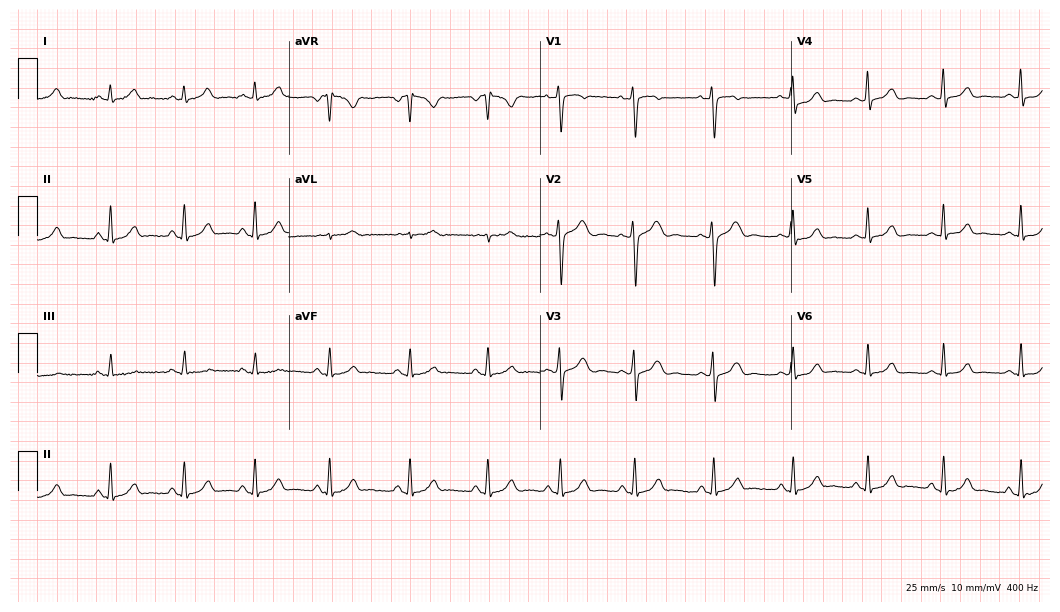
Resting 12-lead electrocardiogram (10.2-second recording at 400 Hz). Patient: a 26-year-old woman. Read as a normal ECG.